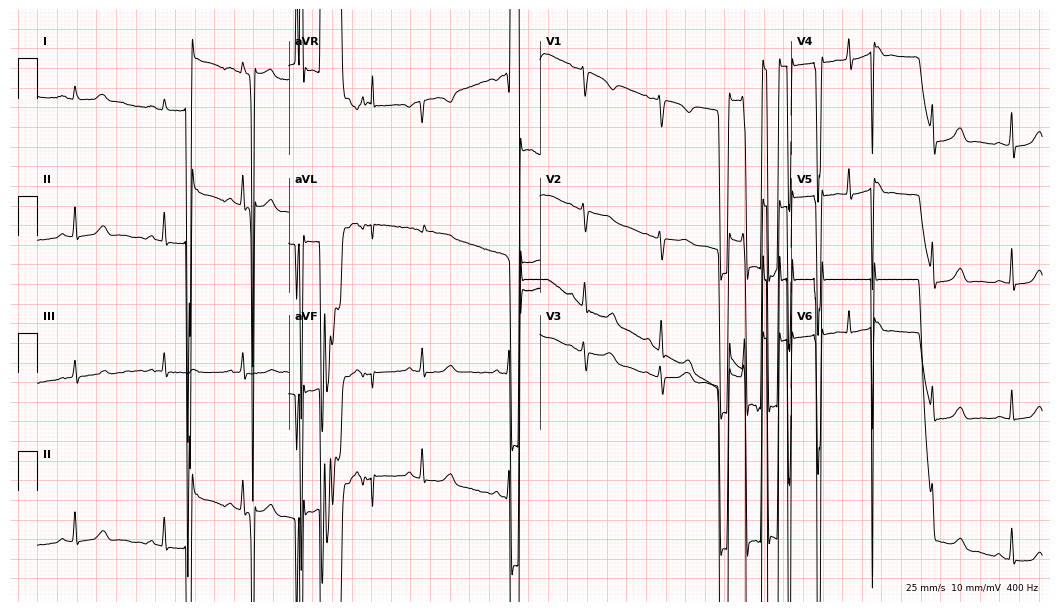
12-lead ECG from a woman, 25 years old (10.2-second recording at 400 Hz). No first-degree AV block, right bundle branch block (RBBB), left bundle branch block (LBBB), sinus bradycardia, atrial fibrillation (AF) or sinus tachycardia recorded for this tracing.